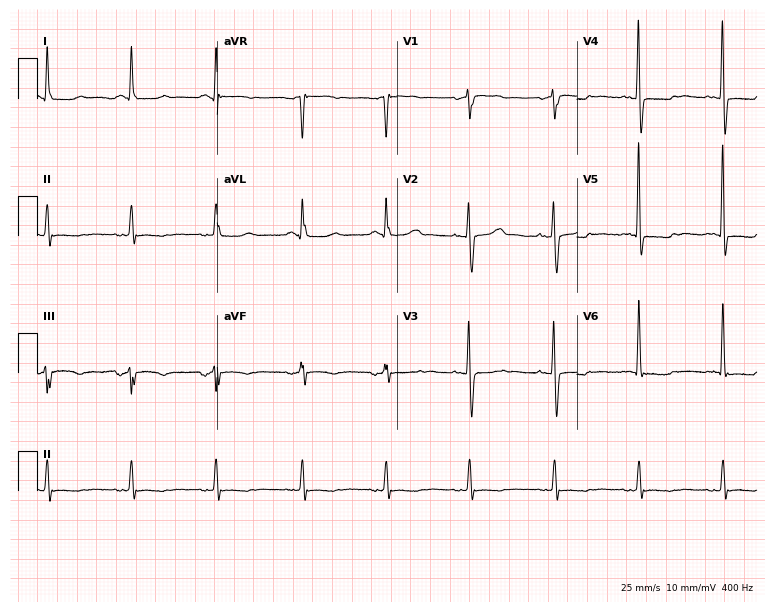
12-lead ECG from an 85-year-old female. Screened for six findings — first-degree AV block, right bundle branch block, left bundle branch block, sinus bradycardia, atrial fibrillation, sinus tachycardia — none is recorded. Only these six findings were labelled.